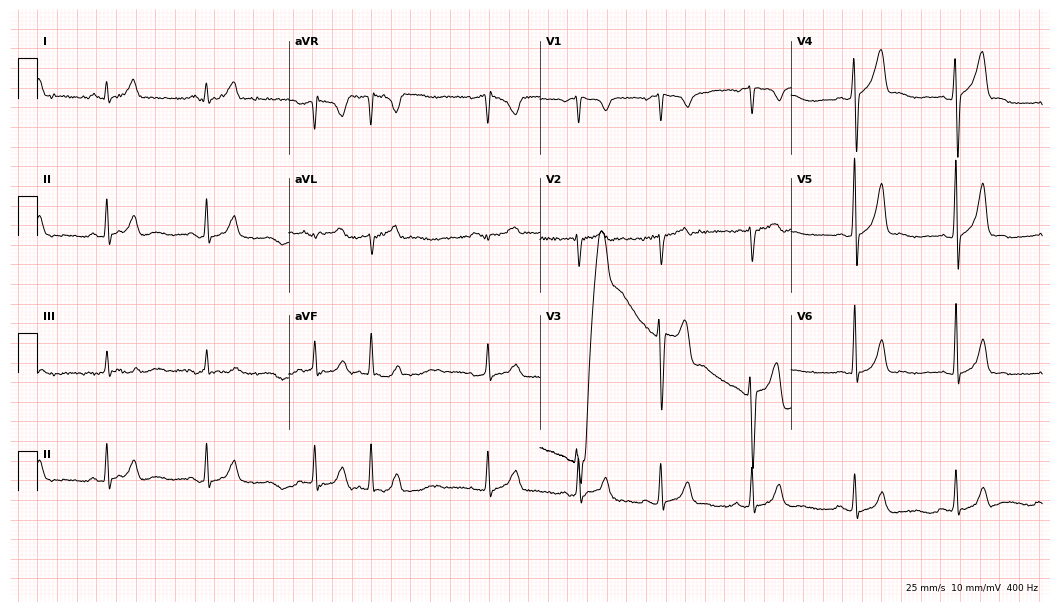
12-lead ECG from a 30-year-old man. No first-degree AV block, right bundle branch block (RBBB), left bundle branch block (LBBB), sinus bradycardia, atrial fibrillation (AF) or sinus tachycardia recorded for this tracing. Other findings, if any, are not listed.